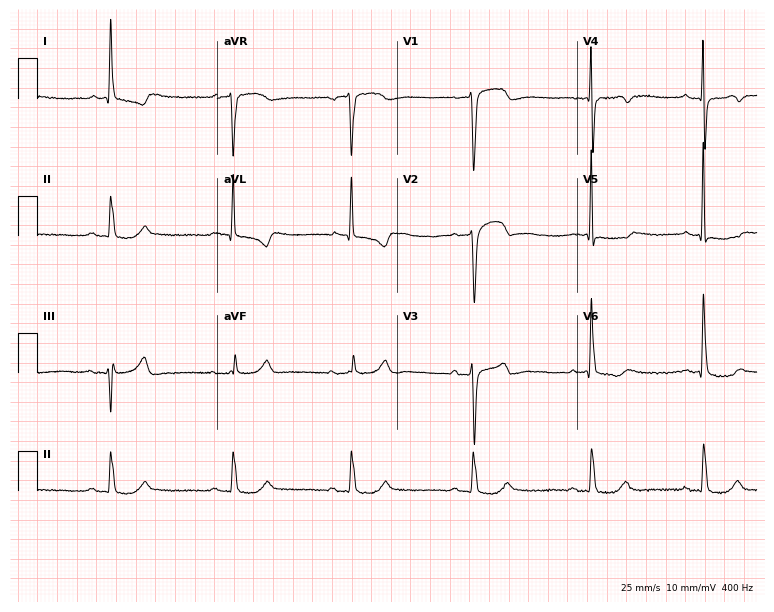
Resting 12-lead electrocardiogram. Patient: an 80-year-old male. The tracing shows sinus bradycardia (a sinus rate of 50 beats per minute or less).